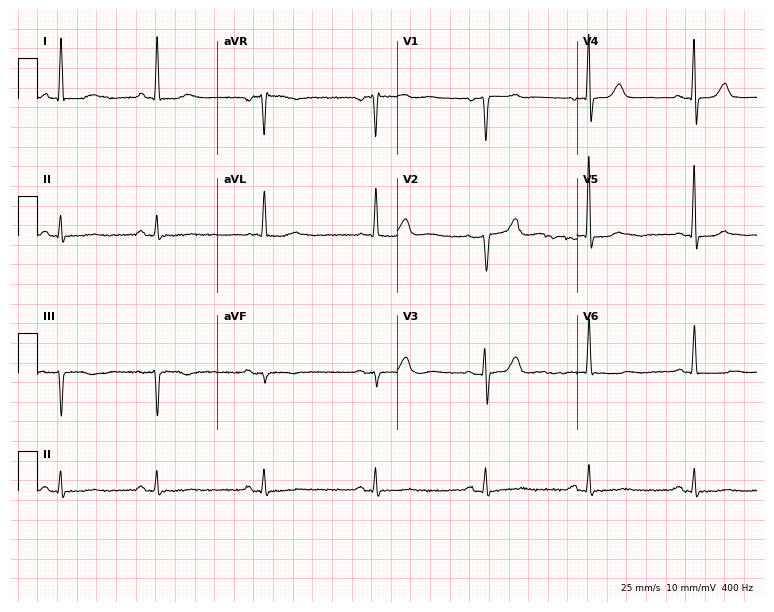
Standard 12-lead ECG recorded from a female patient, 67 years old (7.3-second recording at 400 Hz). None of these six findings is recorded: first-degree AV block, right bundle branch block, left bundle branch block, sinus bradycardia, atrial fibrillation, sinus tachycardia.